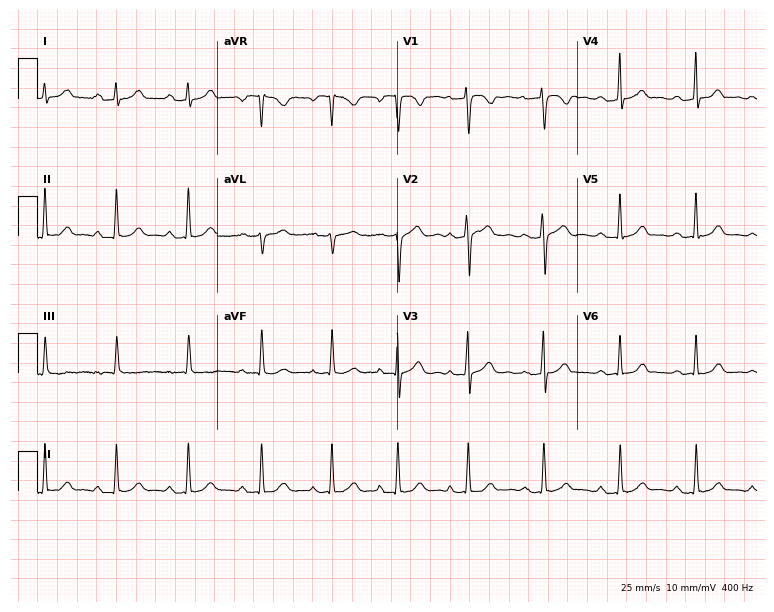
12-lead ECG (7.3-second recording at 400 Hz) from a 20-year-old woman. Labelled as a normal ECG.